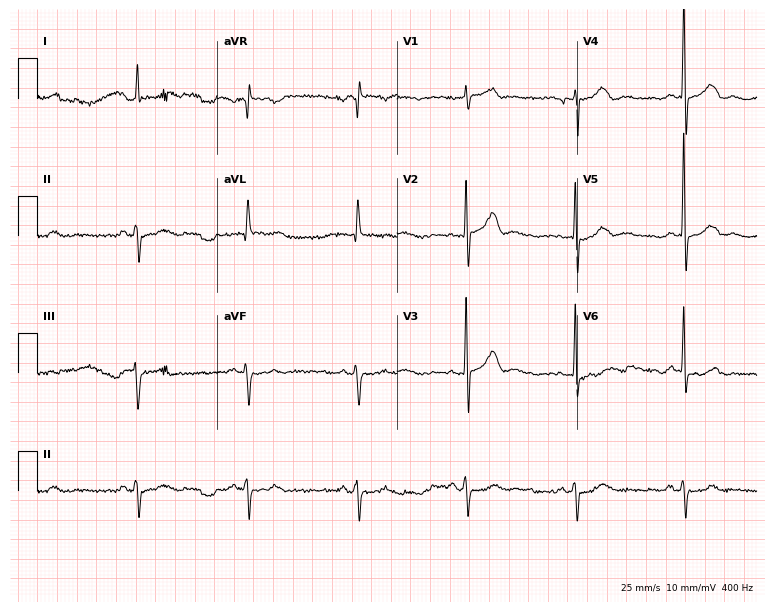
Electrocardiogram (7.3-second recording at 400 Hz), a 76-year-old male patient. Of the six screened findings (first-degree AV block, right bundle branch block, left bundle branch block, sinus bradycardia, atrial fibrillation, sinus tachycardia), none is recorded.